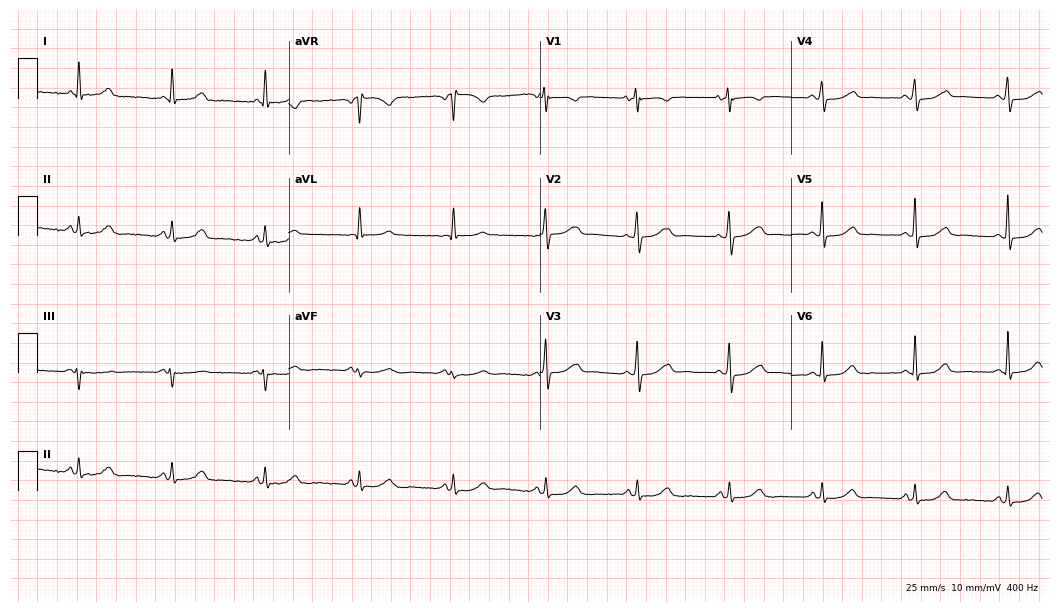
Standard 12-lead ECG recorded from a female, 55 years old. Read as a normal ECG.